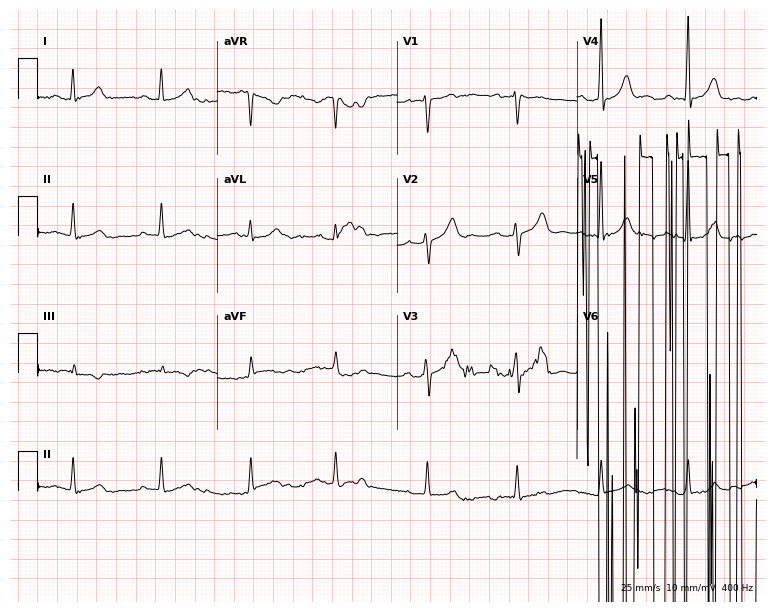
Electrocardiogram, a 41-year-old female patient. Of the six screened findings (first-degree AV block, right bundle branch block, left bundle branch block, sinus bradycardia, atrial fibrillation, sinus tachycardia), none is recorded.